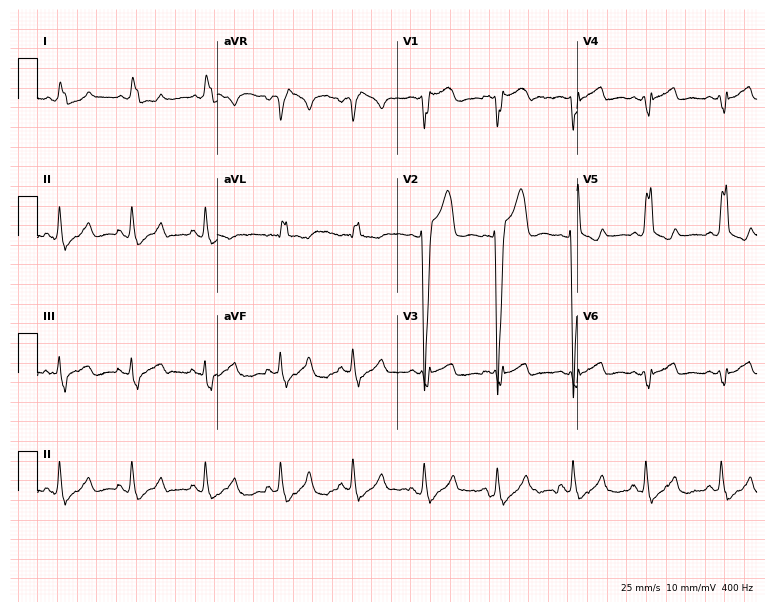
12-lead ECG from a female patient, 52 years old. Findings include left bundle branch block.